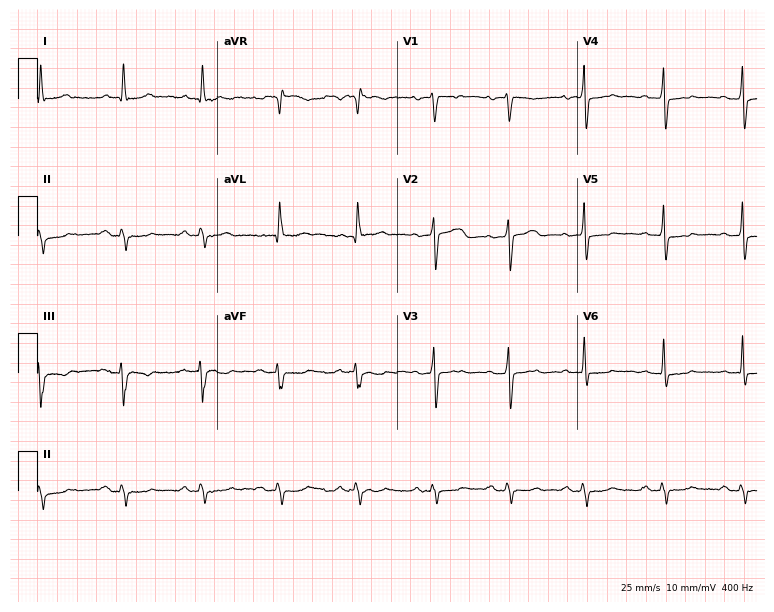
ECG — a 64-year-old man. Screened for six findings — first-degree AV block, right bundle branch block (RBBB), left bundle branch block (LBBB), sinus bradycardia, atrial fibrillation (AF), sinus tachycardia — none is recorded. Findings outside these six are not listed.